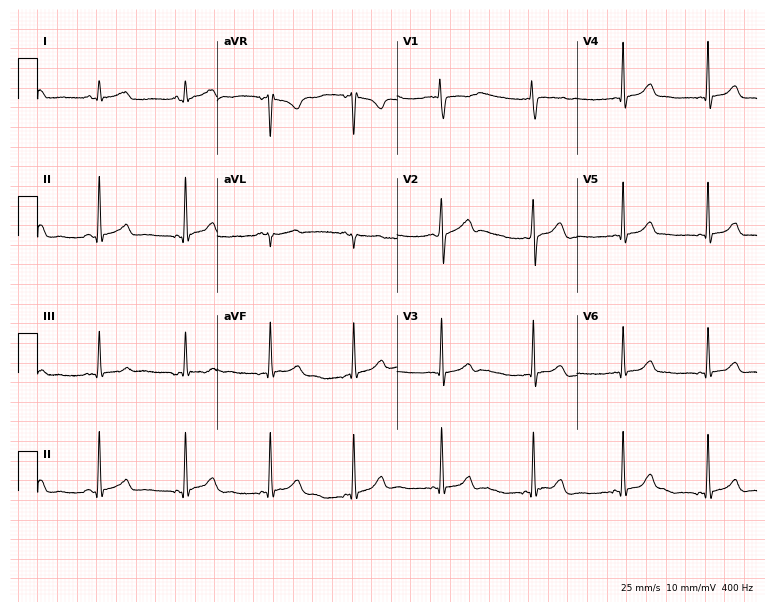
12-lead ECG from a female patient, 43 years old. Labelled as a normal ECG.